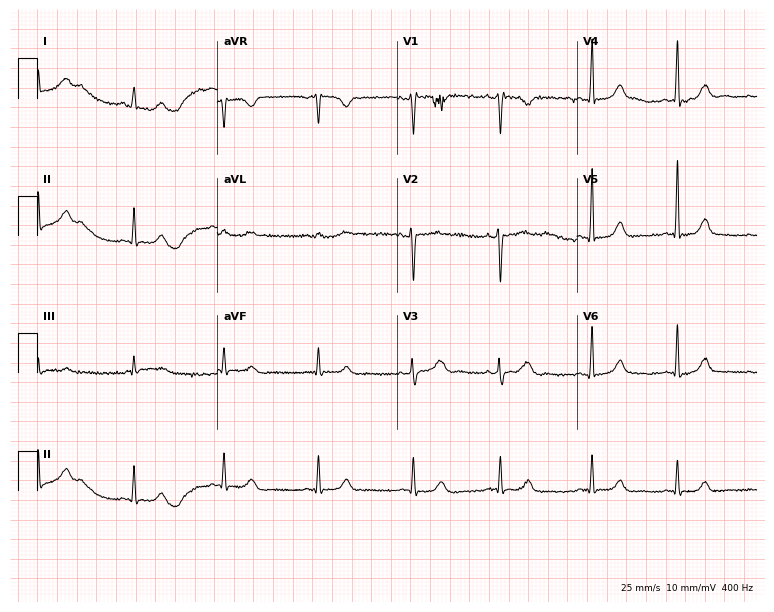
Resting 12-lead electrocardiogram. Patient: a woman, 33 years old. None of these six findings is recorded: first-degree AV block, right bundle branch block, left bundle branch block, sinus bradycardia, atrial fibrillation, sinus tachycardia.